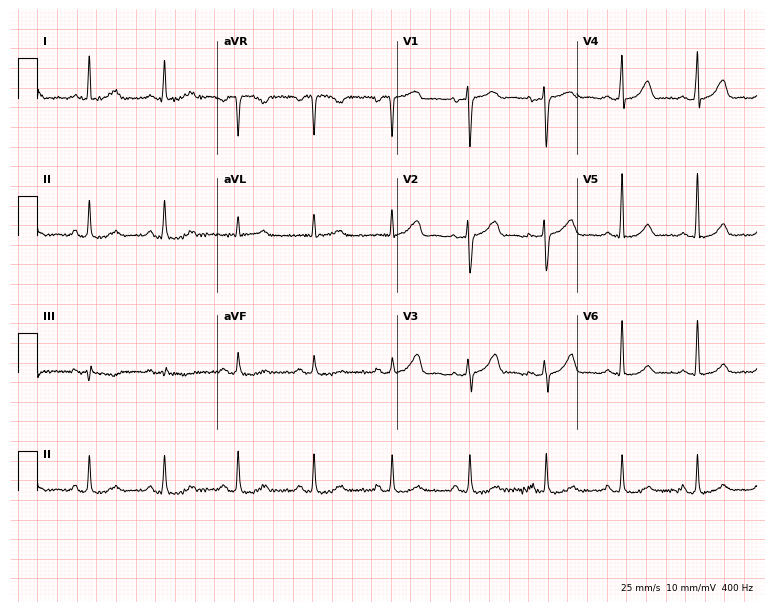
ECG (7.3-second recording at 400 Hz) — a 45-year-old woman. Screened for six findings — first-degree AV block, right bundle branch block (RBBB), left bundle branch block (LBBB), sinus bradycardia, atrial fibrillation (AF), sinus tachycardia — none is recorded. Findings outside these six are not listed.